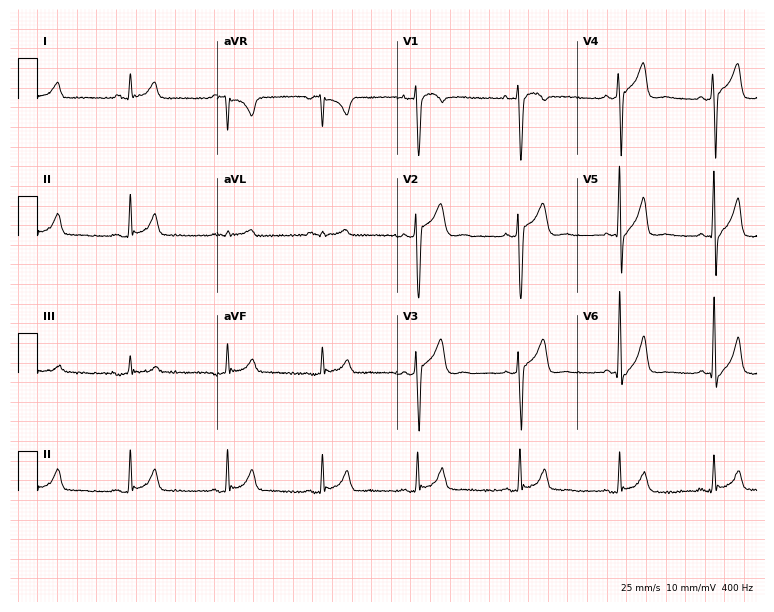
12-lead ECG (7.3-second recording at 400 Hz) from a male patient, 53 years old. Screened for six findings — first-degree AV block, right bundle branch block, left bundle branch block, sinus bradycardia, atrial fibrillation, sinus tachycardia — none is recorded. Only these six findings were labelled.